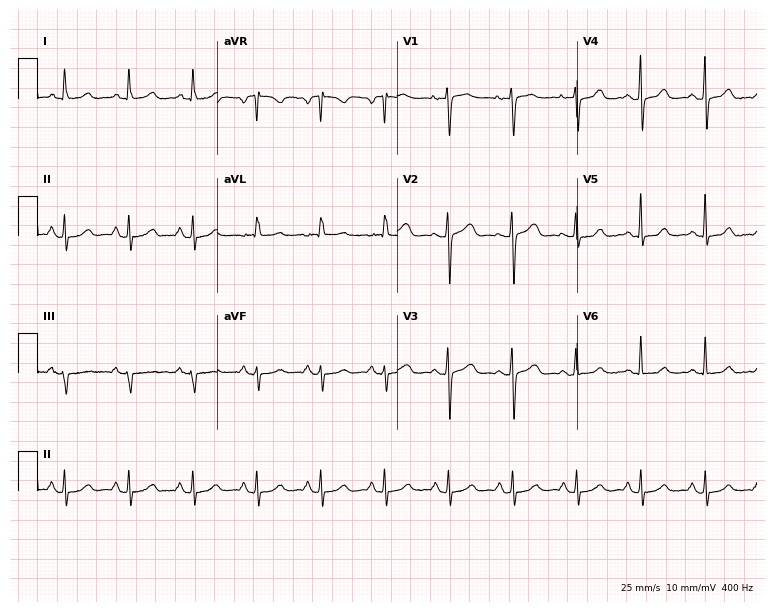
Resting 12-lead electrocardiogram. Patient: a woman, 55 years old. Read as a normal ECG.